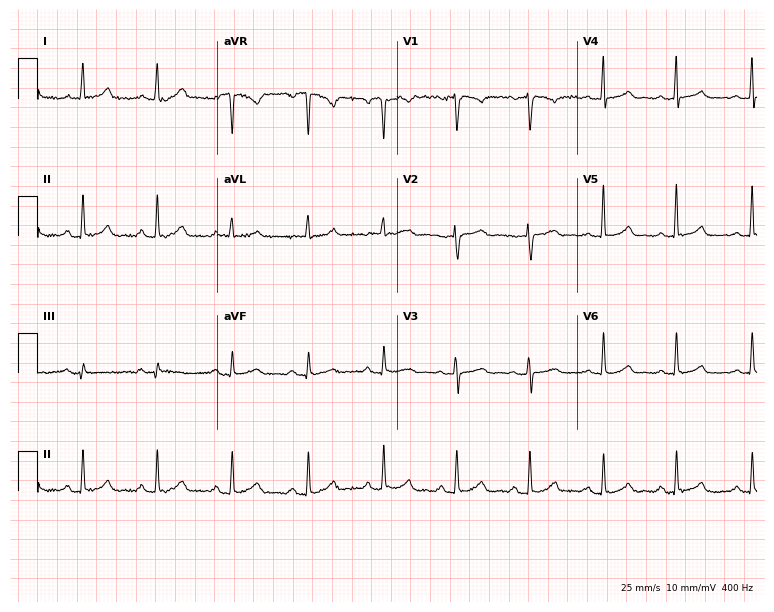
12-lead ECG (7.3-second recording at 400 Hz) from a woman, 36 years old. Screened for six findings — first-degree AV block, right bundle branch block, left bundle branch block, sinus bradycardia, atrial fibrillation, sinus tachycardia — none is recorded. Only these six findings were labelled.